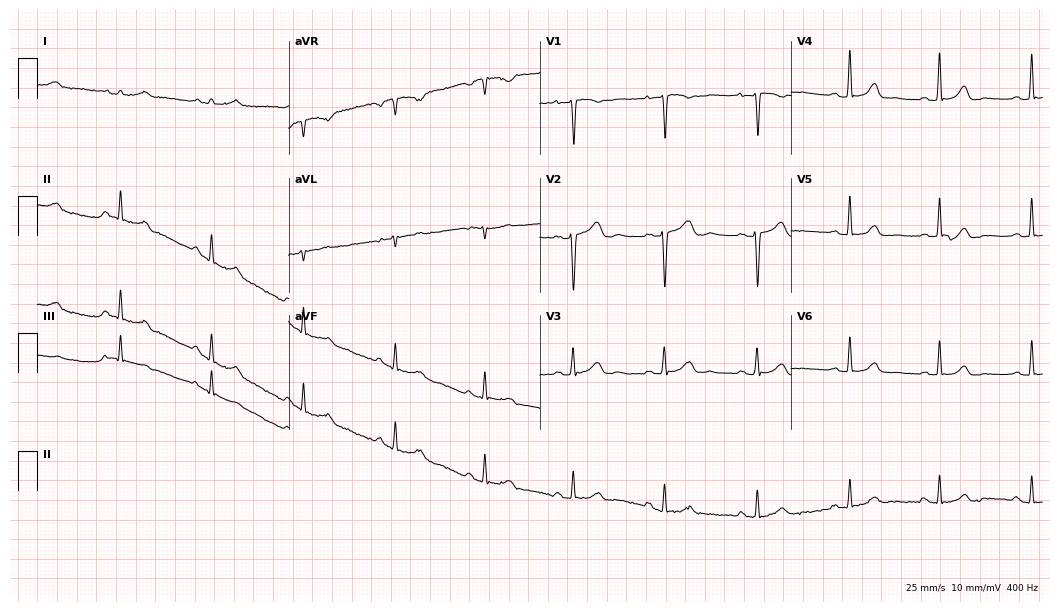
Electrocardiogram, a 41-year-old female. Overall reading on record: normal ECG.